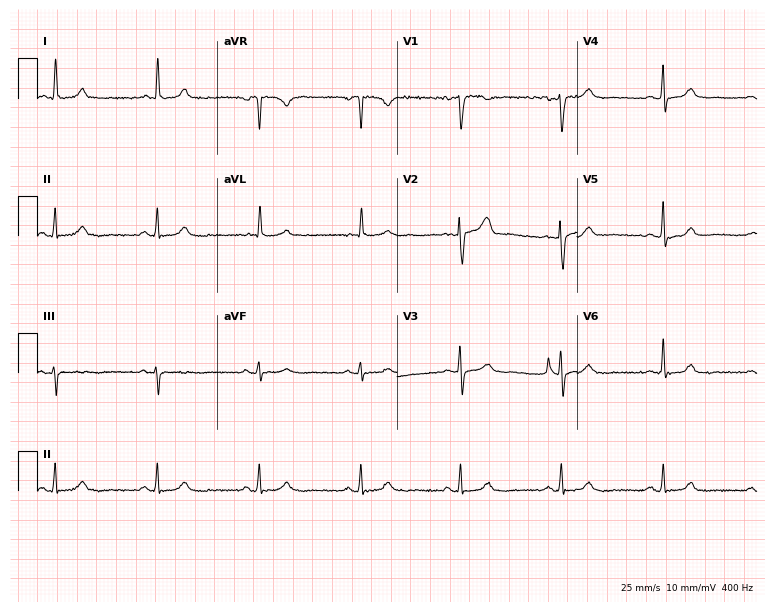
Electrocardiogram (7.3-second recording at 400 Hz), a woman, 59 years old. Overall reading on record: normal ECG.